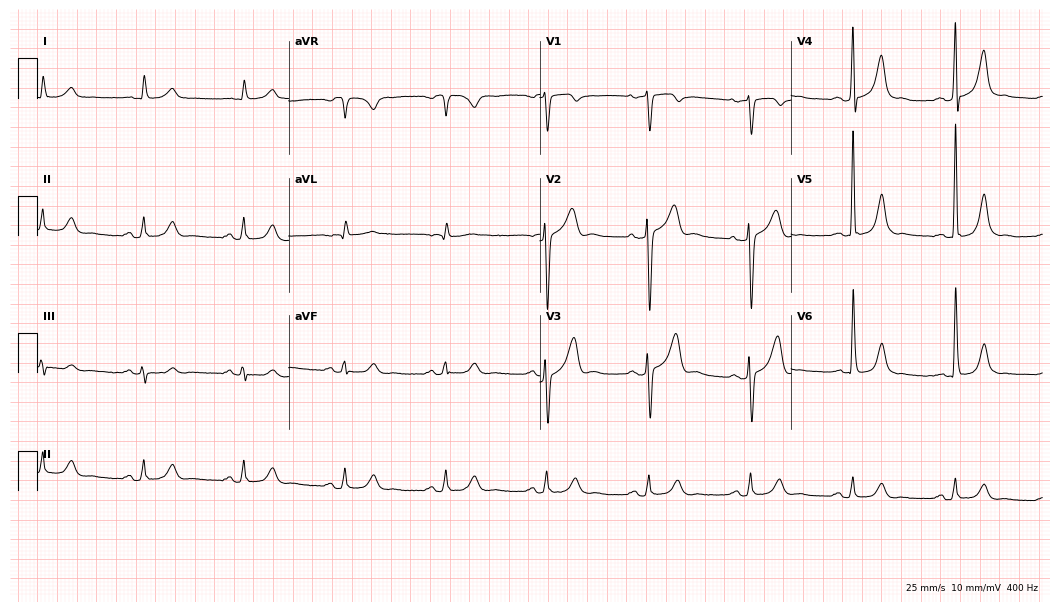
ECG — an 84-year-old man. Screened for six findings — first-degree AV block, right bundle branch block, left bundle branch block, sinus bradycardia, atrial fibrillation, sinus tachycardia — none is recorded.